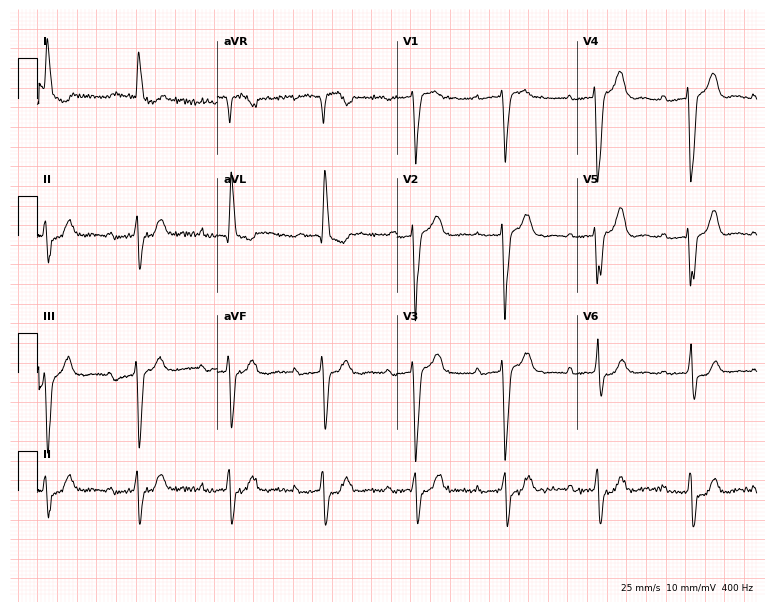
12-lead ECG (7.3-second recording at 400 Hz) from an 86-year-old male. Screened for six findings — first-degree AV block, right bundle branch block (RBBB), left bundle branch block (LBBB), sinus bradycardia, atrial fibrillation (AF), sinus tachycardia — none is recorded.